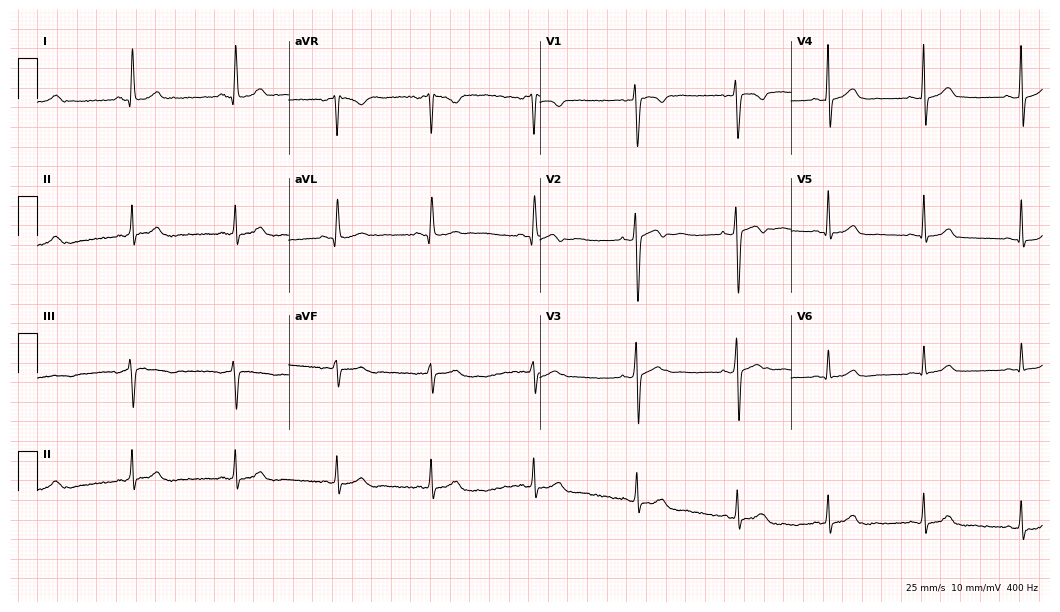
12-lead ECG from a woman, 27 years old (10.2-second recording at 400 Hz). Recorded interpretation: within normal limits.